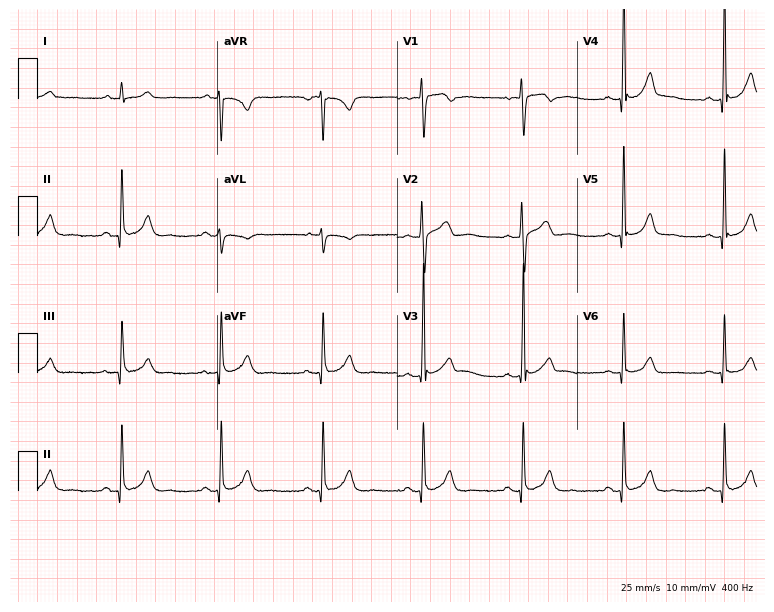
Resting 12-lead electrocardiogram (7.3-second recording at 400 Hz). Patient: an 18-year-old male. Read as a normal ECG.